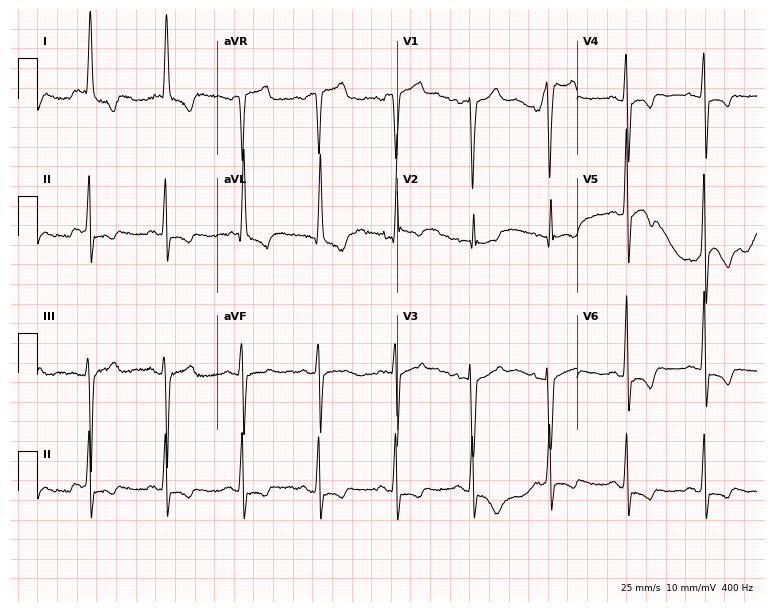
Electrocardiogram (7.3-second recording at 400 Hz), a 73-year-old female patient. Of the six screened findings (first-degree AV block, right bundle branch block (RBBB), left bundle branch block (LBBB), sinus bradycardia, atrial fibrillation (AF), sinus tachycardia), none is recorded. Other findings, if any, are not listed.